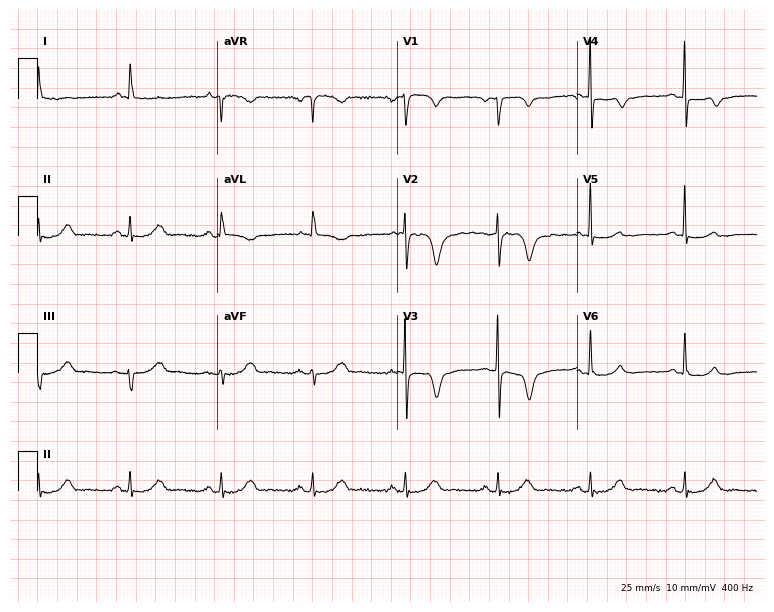
Resting 12-lead electrocardiogram (7.3-second recording at 400 Hz). Patient: a male, 63 years old. Read as a normal ECG.